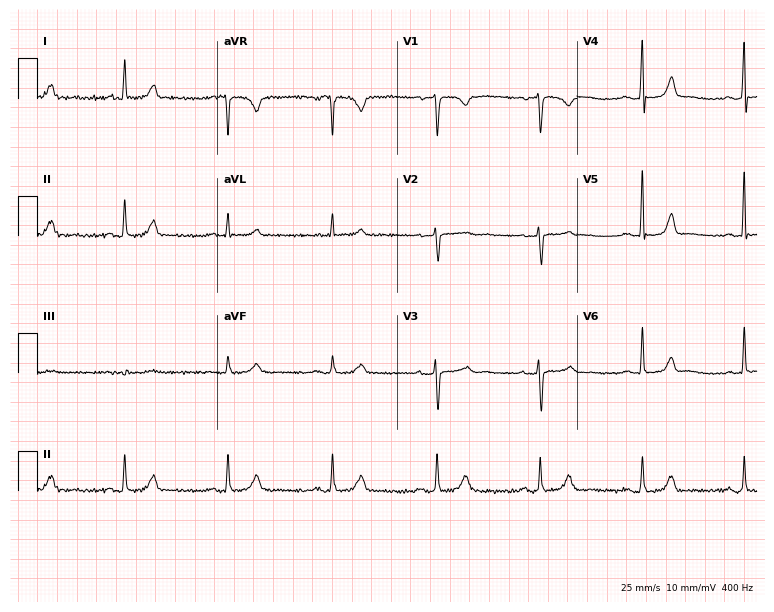
12-lead ECG from a female patient, 51 years old (7.3-second recording at 400 Hz). Recorded interpretation: within normal limits.